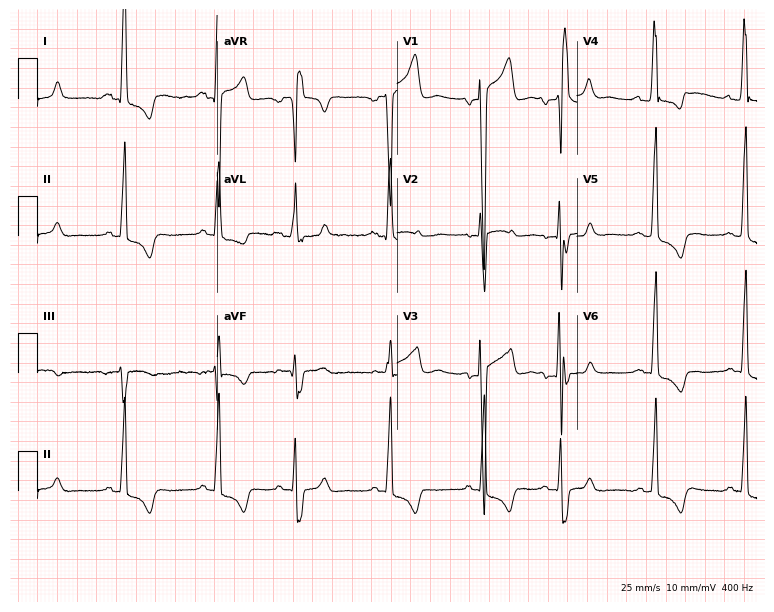
ECG — a man, 68 years old. Screened for six findings — first-degree AV block, right bundle branch block, left bundle branch block, sinus bradycardia, atrial fibrillation, sinus tachycardia — none is recorded. Findings outside these six are not listed.